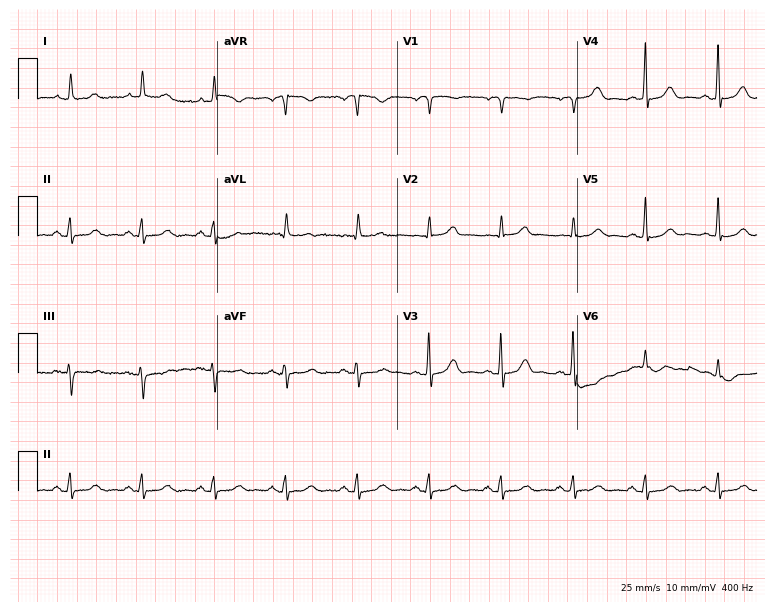
12-lead ECG from a woman, 76 years old (7.3-second recording at 400 Hz). No first-degree AV block, right bundle branch block, left bundle branch block, sinus bradycardia, atrial fibrillation or sinus tachycardia recorded for this tracing.